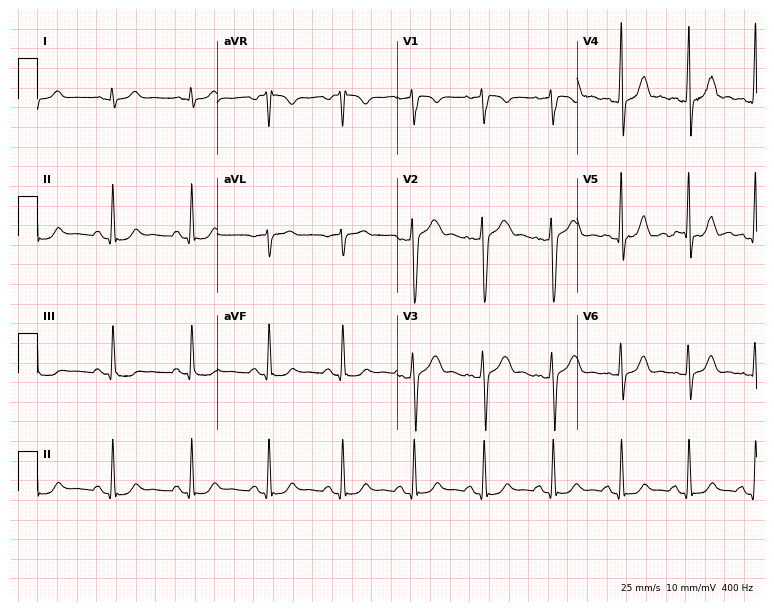
Resting 12-lead electrocardiogram. Patient: a male, 52 years old. Read as a normal ECG.